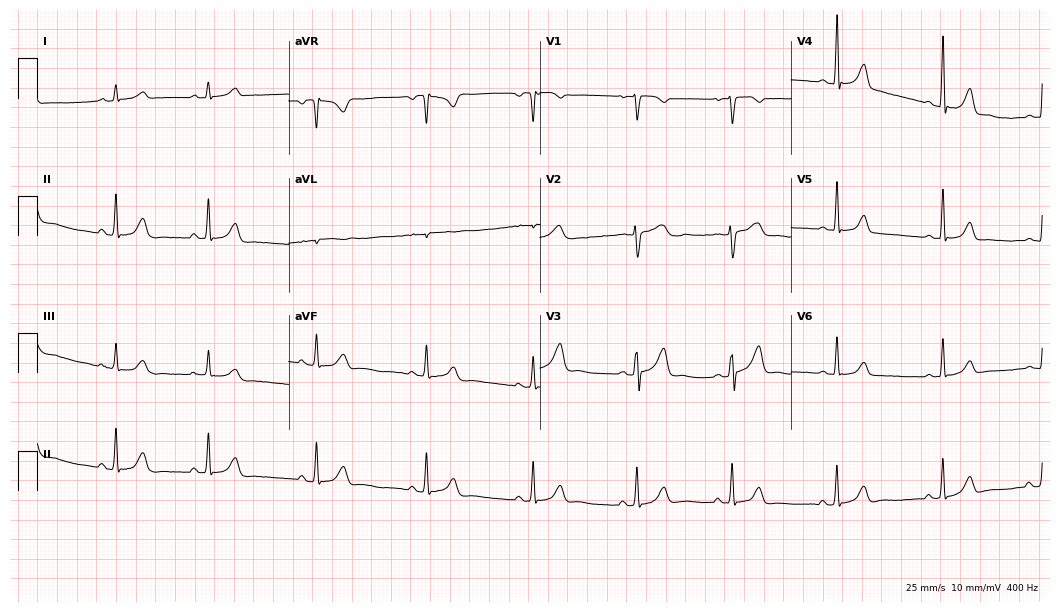
Standard 12-lead ECG recorded from a 36-year-old female patient (10.2-second recording at 400 Hz). Read as a normal ECG.